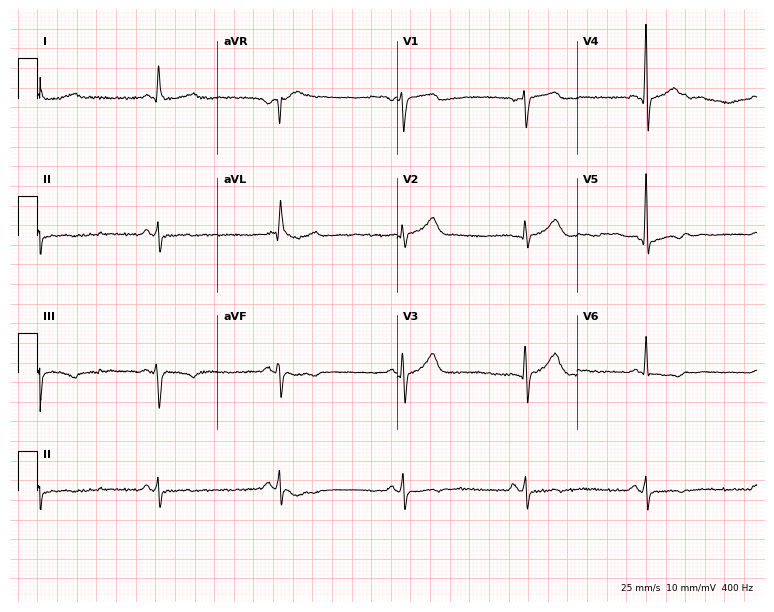
Electrocardiogram (7.3-second recording at 400 Hz), a 58-year-old woman. Interpretation includes sinus bradycardia (a sinus rate of 50 beats per minute or less).